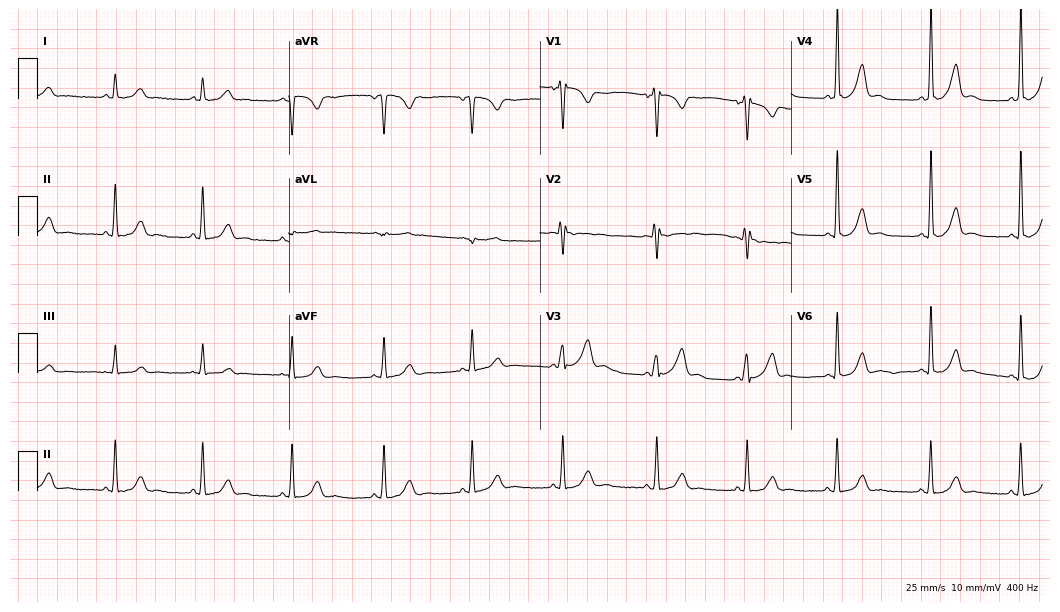
12-lead ECG from a female, 36 years old. Labelled as a normal ECG.